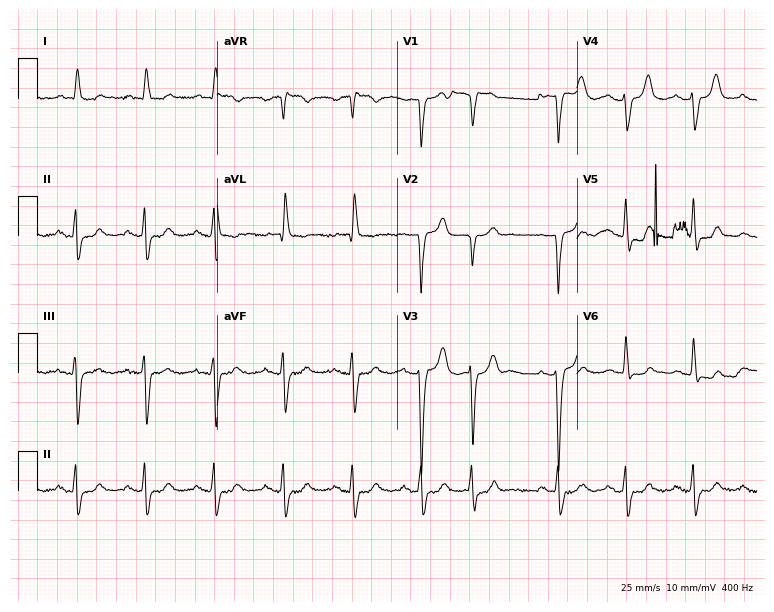
Electrocardiogram (7.3-second recording at 400 Hz), an 85-year-old woman. Overall reading on record: normal ECG.